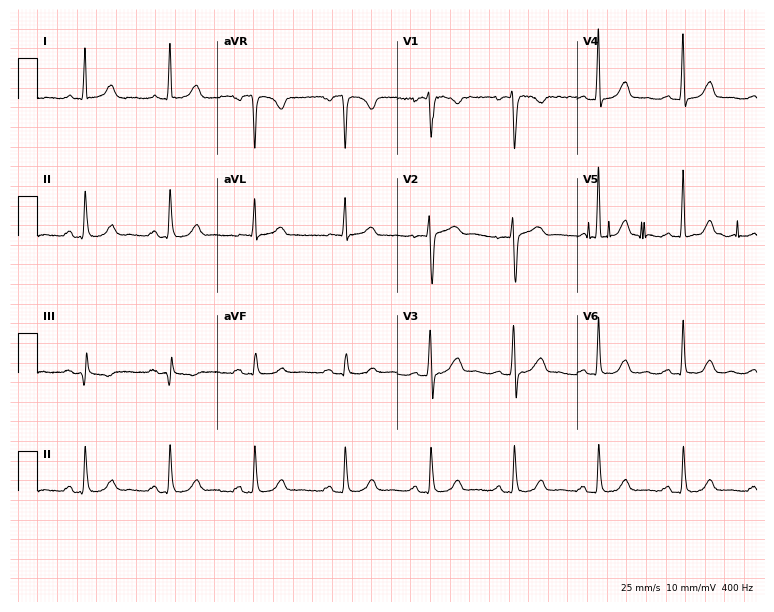
12-lead ECG from a woman, 38 years old. Labelled as a normal ECG.